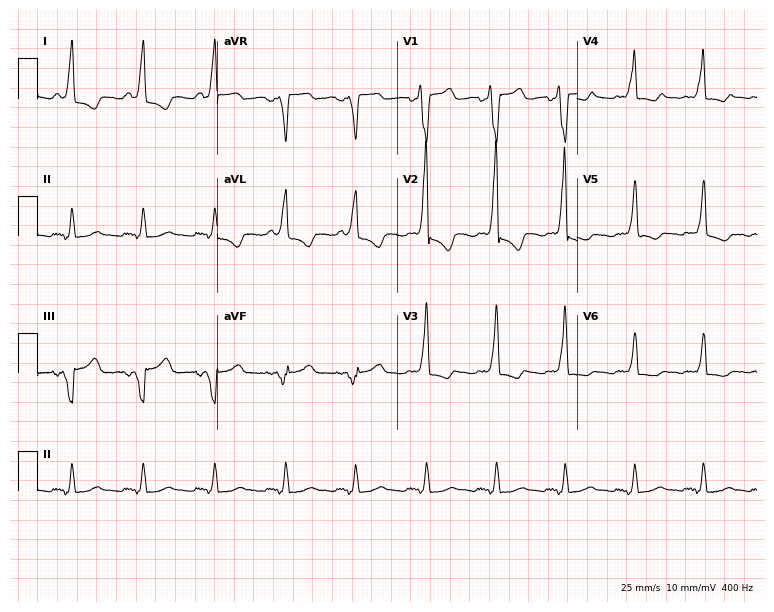
12-lead ECG (7.3-second recording at 400 Hz) from a female, 68 years old. Screened for six findings — first-degree AV block, right bundle branch block (RBBB), left bundle branch block (LBBB), sinus bradycardia, atrial fibrillation (AF), sinus tachycardia — none is recorded.